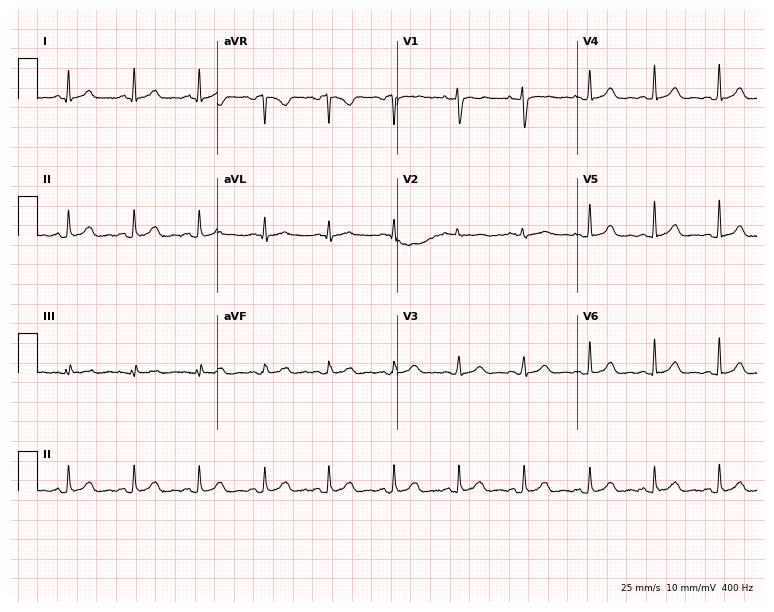
12-lead ECG from a female, 33 years old. Recorded interpretation: within normal limits.